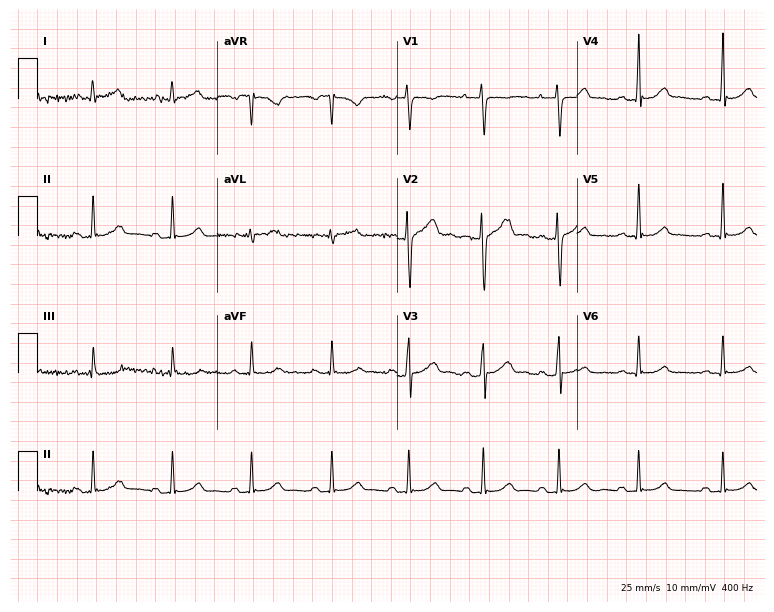
12-lead ECG from a 28-year-old man. Labelled as a normal ECG.